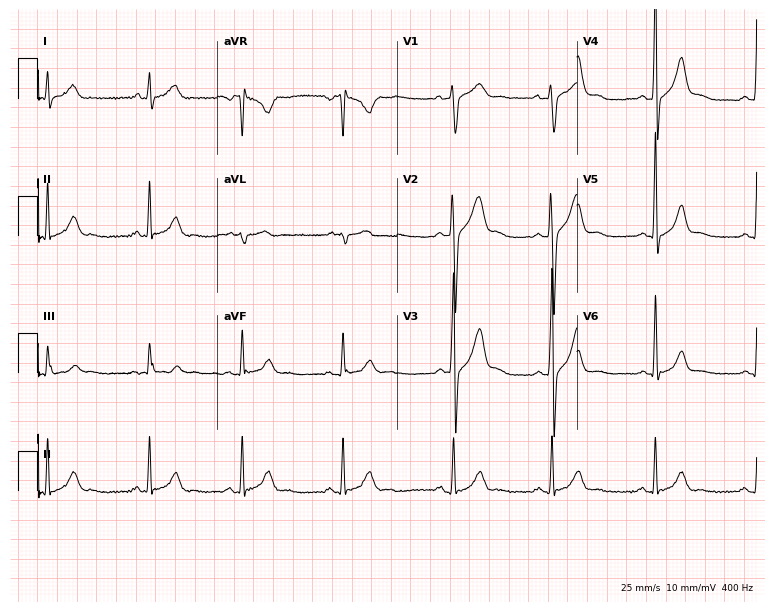
12-lead ECG from a 33-year-old male patient. Labelled as a normal ECG.